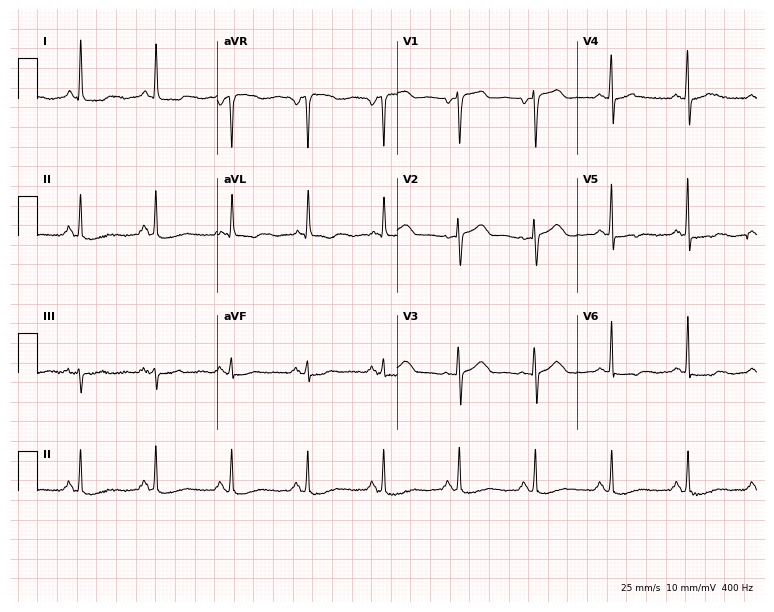
Electrocardiogram, a 72-year-old female patient. Of the six screened findings (first-degree AV block, right bundle branch block, left bundle branch block, sinus bradycardia, atrial fibrillation, sinus tachycardia), none is recorded. Other findings, if any, are not listed.